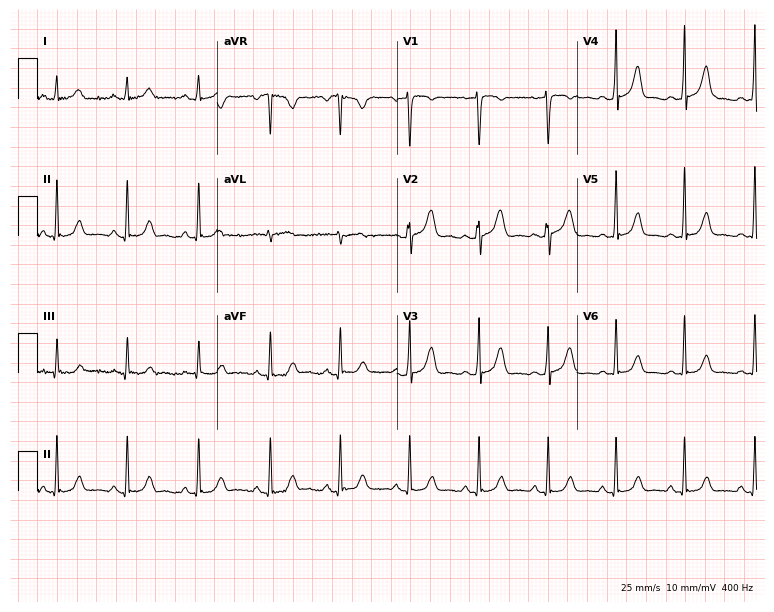
Standard 12-lead ECG recorded from a female patient, 27 years old (7.3-second recording at 400 Hz). Read as a normal ECG.